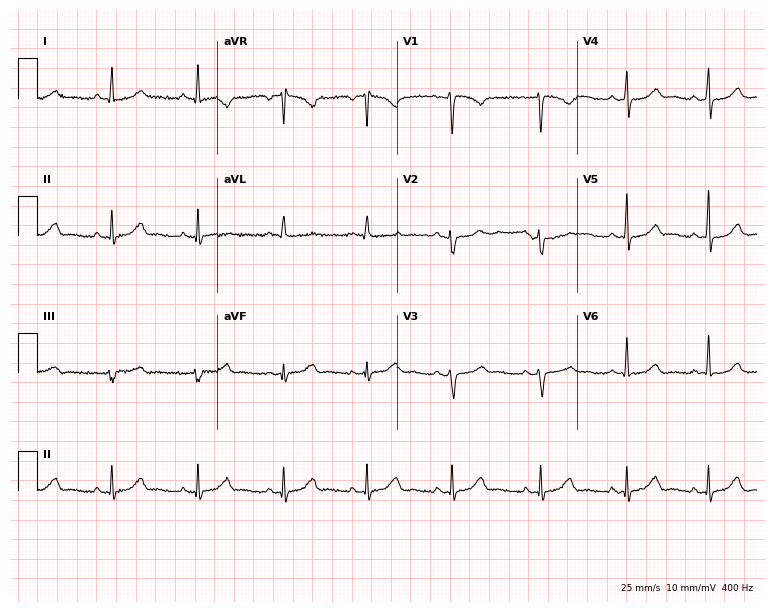
Resting 12-lead electrocardiogram (7.3-second recording at 400 Hz). Patient: a 48-year-old female. Read as a normal ECG.